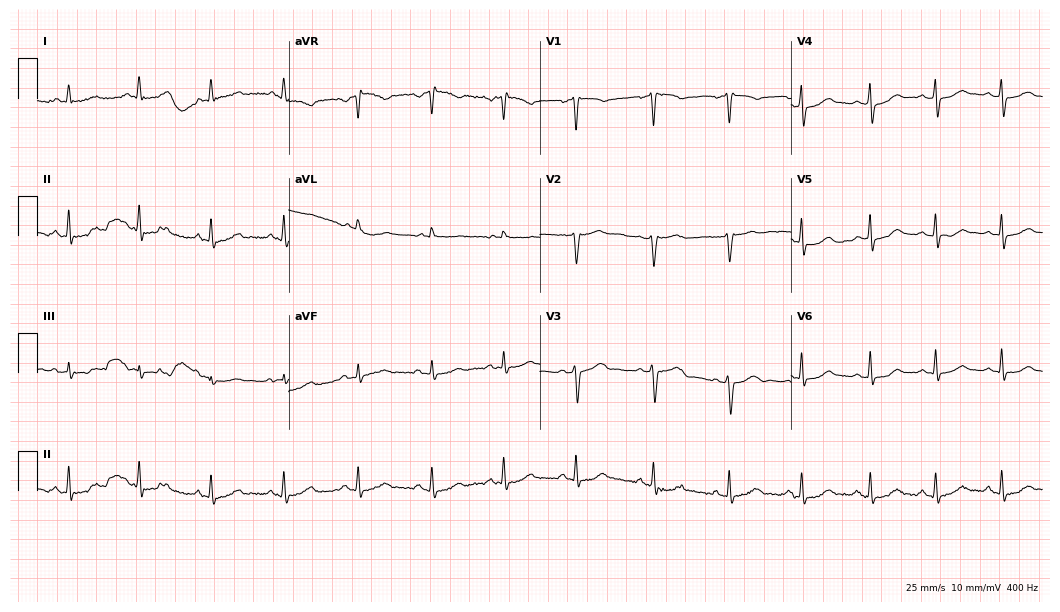
12-lead ECG (10.2-second recording at 400 Hz) from a woman, 52 years old. Labelled as a normal ECG.